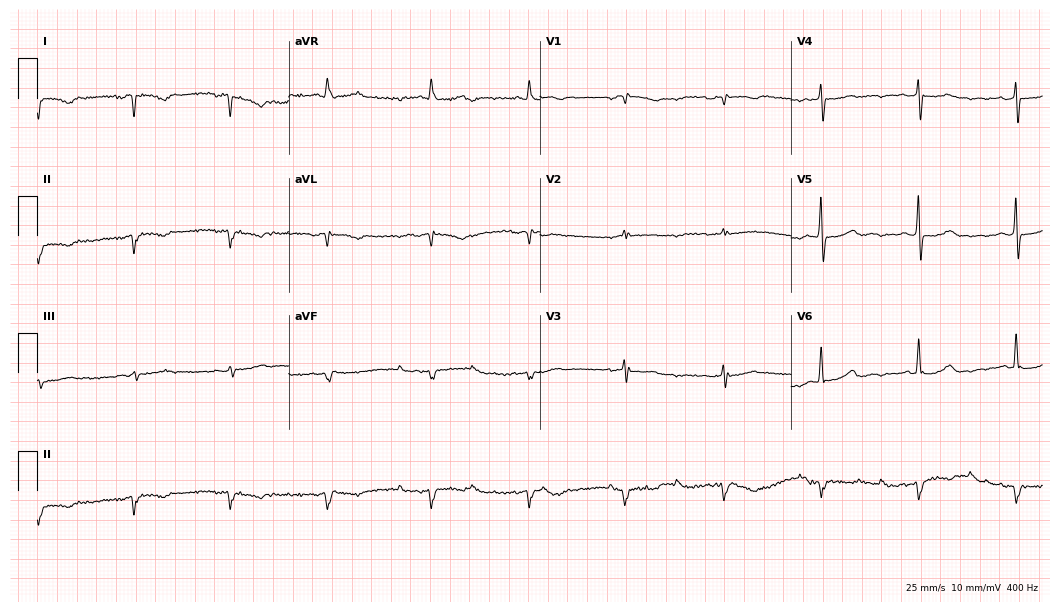
ECG — a male patient, 83 years old. Screened for six findings — first-degree AV block, right bundle branch block (RBBB), left bundle branch block (LBBB), sinus bradycardia, atrial fibrillation (AF), sinus tachycardia — none is recorded. Findings outside these six are not listed.